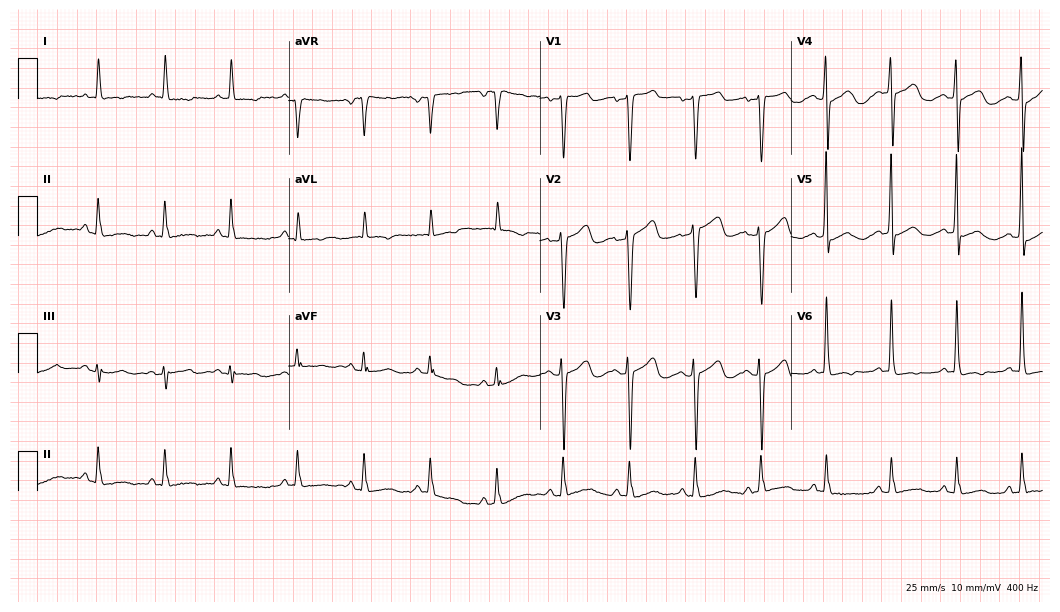
12-lead ECG (10.2-second recording at 400 Hz) from a female patient, 59 years old. Labelled as a normal ECG.